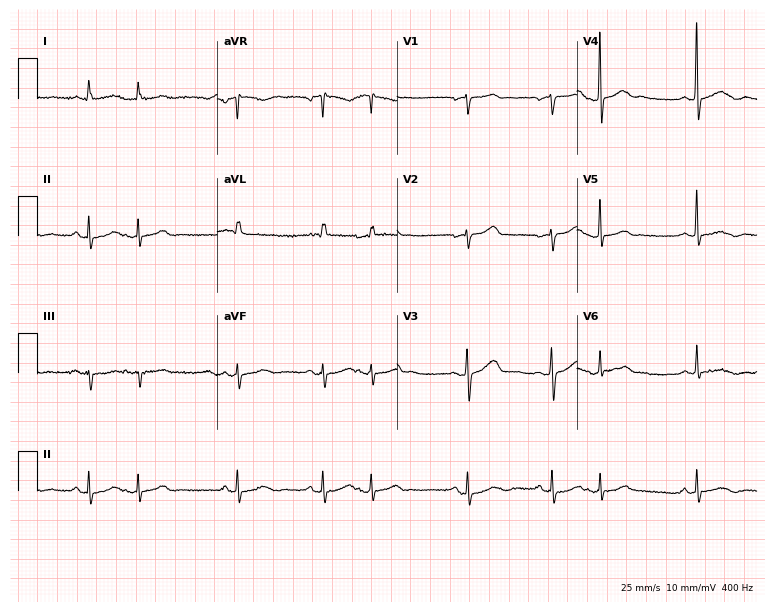
ECG (7.3-second recording at 400 Hz) — an 81-year-old woman. Screened for six findings — first-degree AV block, right bundle branch block, left bundle branch block, sinus bradycardia, atrial fibrillation, sinus tachycardia — none is recorded. Other findings, if any, are not listed.